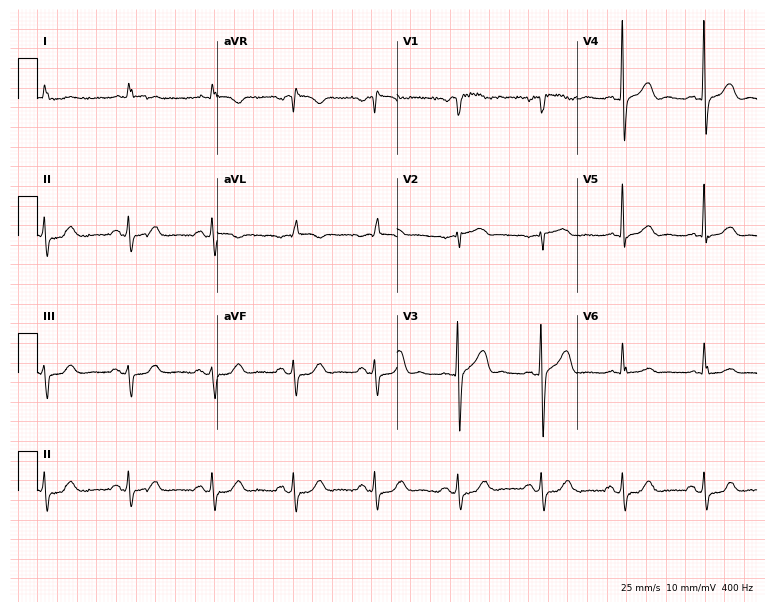
Resting 12-lead electrocardiogram. Patient: a 75-year-old man. Read as a normal ECG.